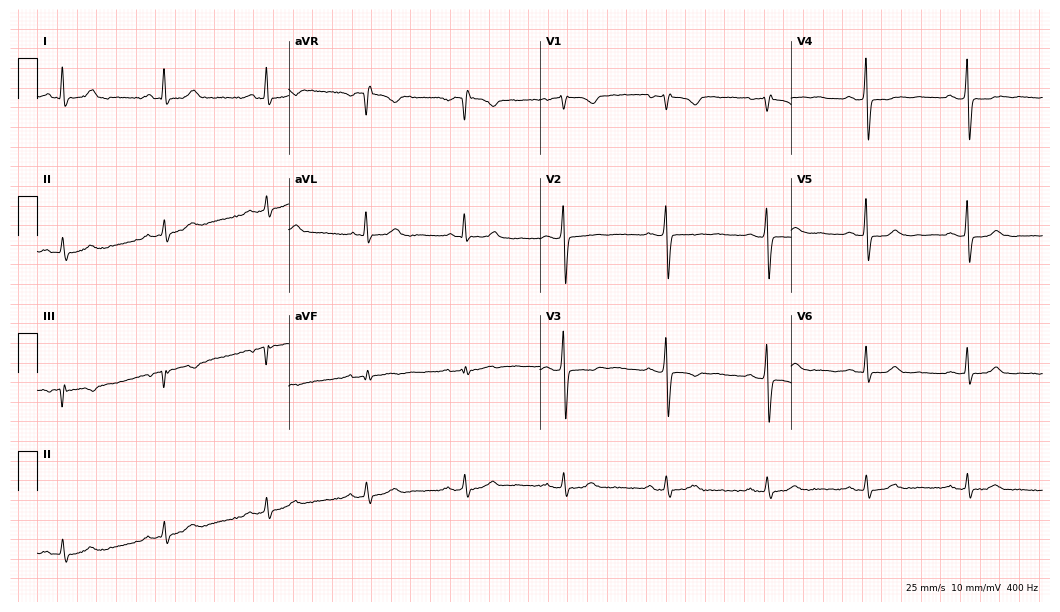
Electrocardiogram, a female, 55 years old. Of the six screened findings (first-degree AV block, right bundle branch block, left bundle branch block, sinus bradycardia, atrial fibrillation, sinus tachycardia), none is recorded.